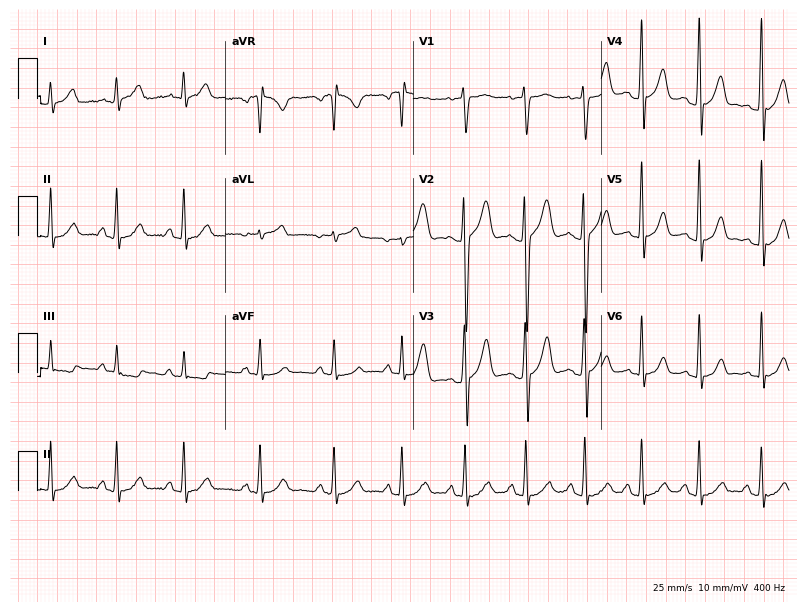
Electrocardiogram, a 17-year-old male patient. Overall reading on record: normal ECG.